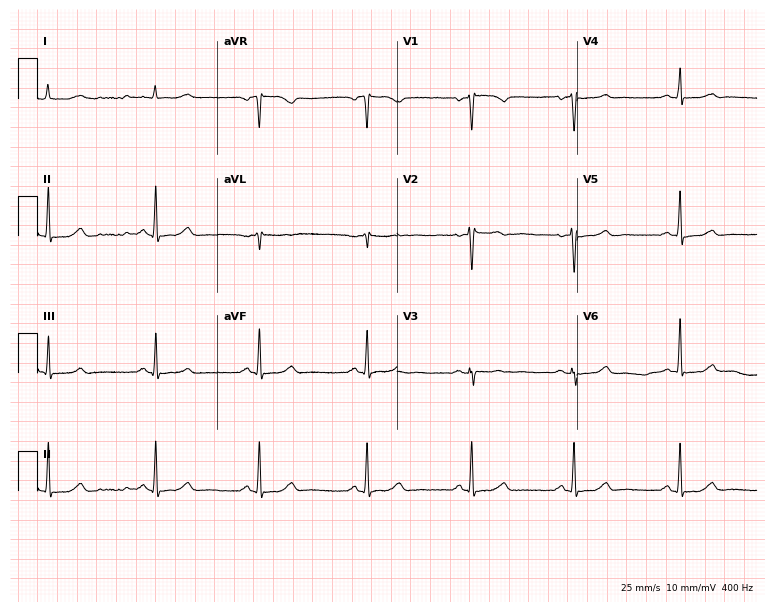
12-lead ECG (7.3-second recording at 400 Hz) from a female patient, 48 years old. Labelled as a normal ECG.